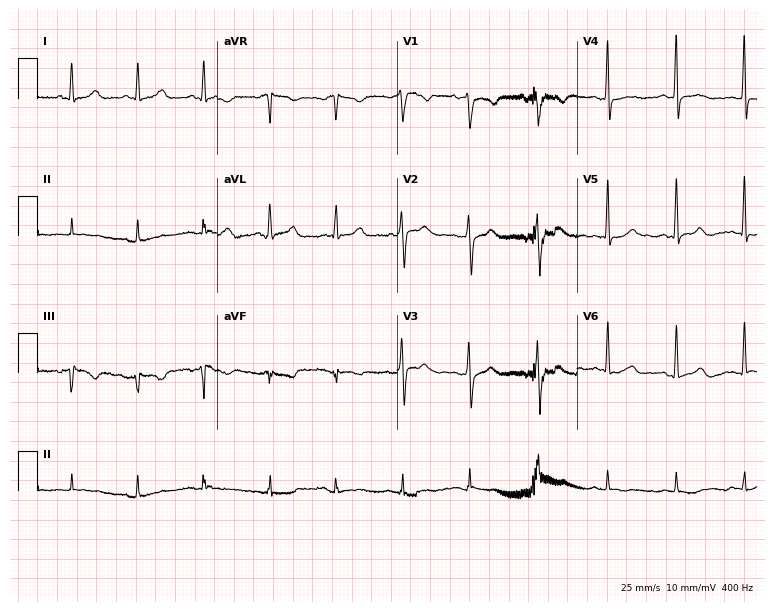
12-lead ECG from a woman, 58 years old. Screened for six findings — first-degree AV block, right bundle branch block, left bundle branch block, sinus bradycardia, atrial fibrillation, sinus tachycardia — none is recorded. Only these six findings were labelled.